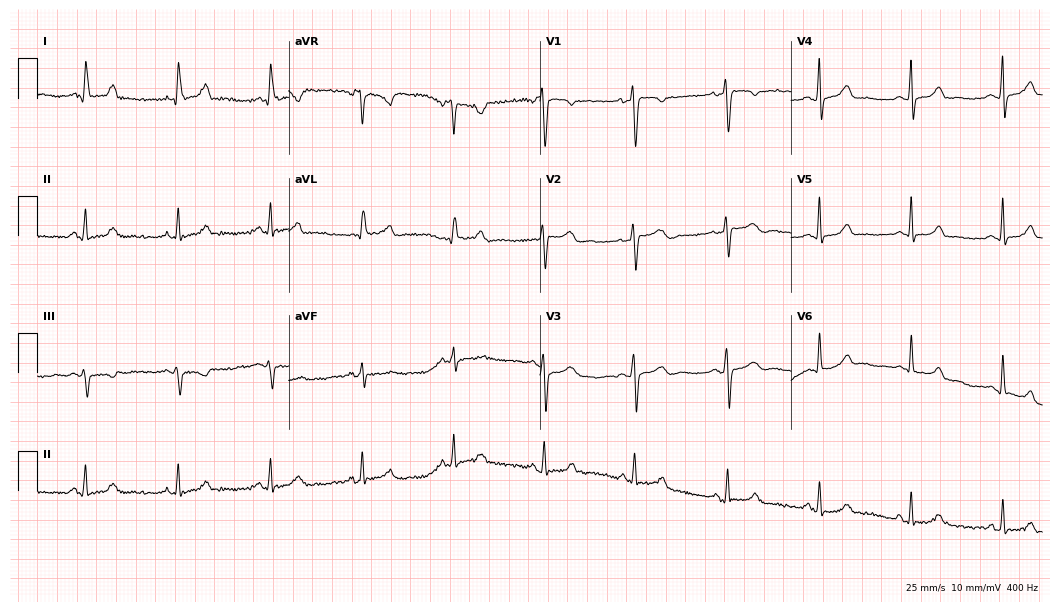
Electrocardiogram, a female, 49 years old. Overall reading on record: normal ECG.